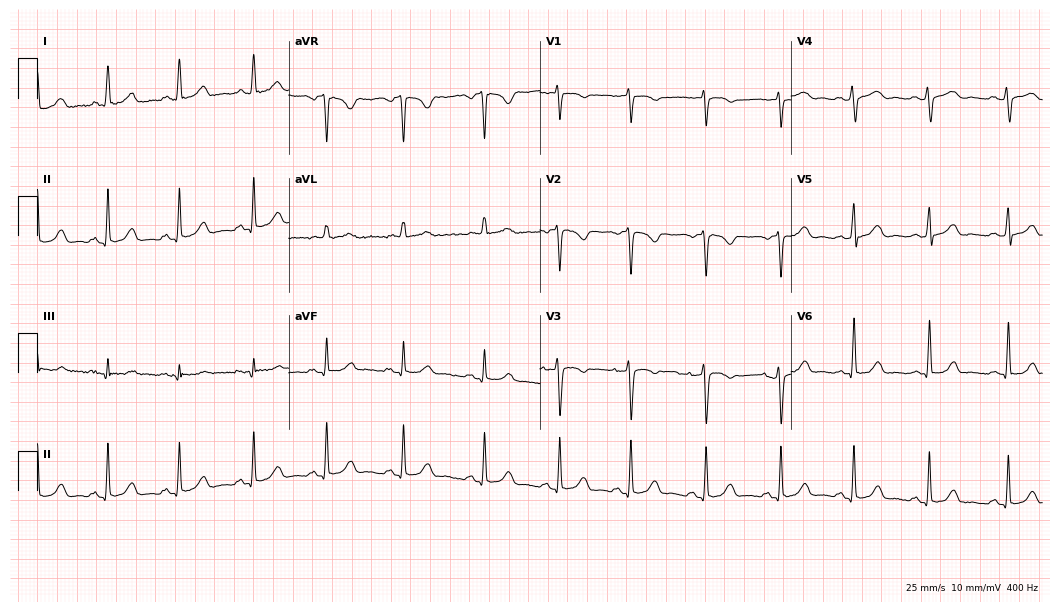
ECG — a female, 34 years old. Labelled as a normal ECG.